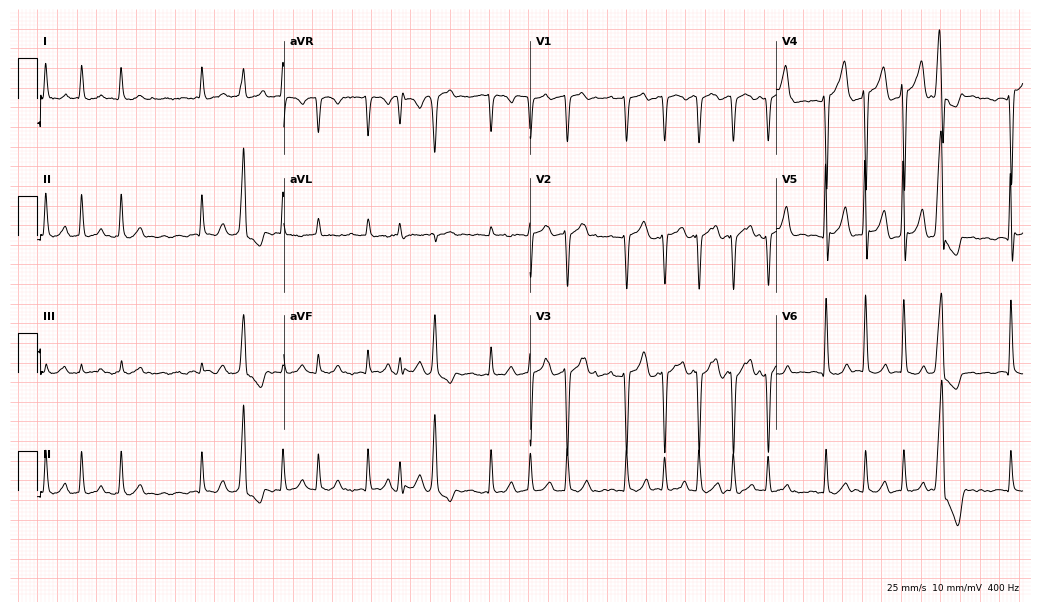
Standard 12-lead ECG recorded from a 79-year-old male. The tracing shows atrial fibrillation.